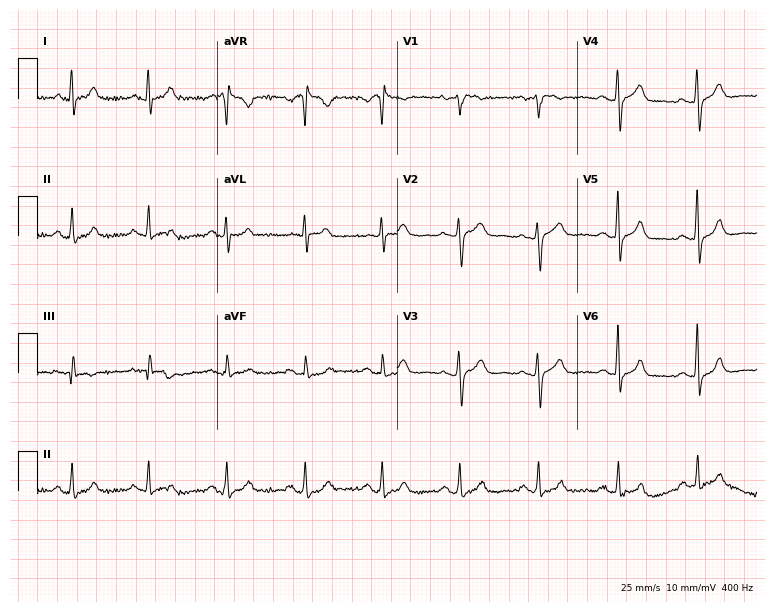
12-lead ECG from a woman, 53 years old. Labelled as a normal ECG.